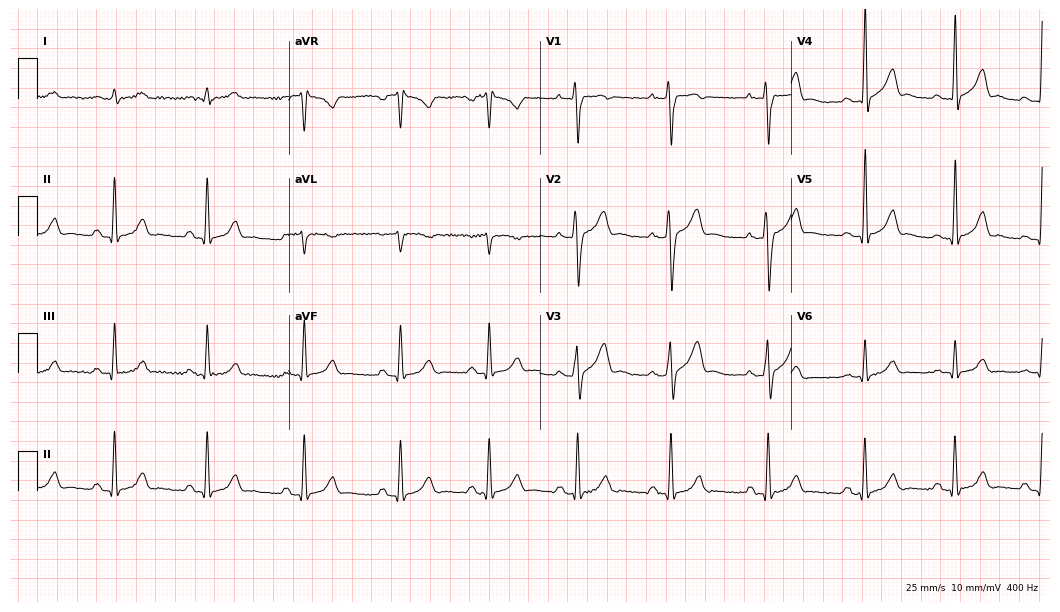
ECG (10.2-second recording at 400 Hz) — a male, 30 years old. Screened for six findings — first-degree AV block, right bundle branch block, left bundle branch block, sinus bradycardia, atrial fibrillation, sinus tachycardia — none is recorded.